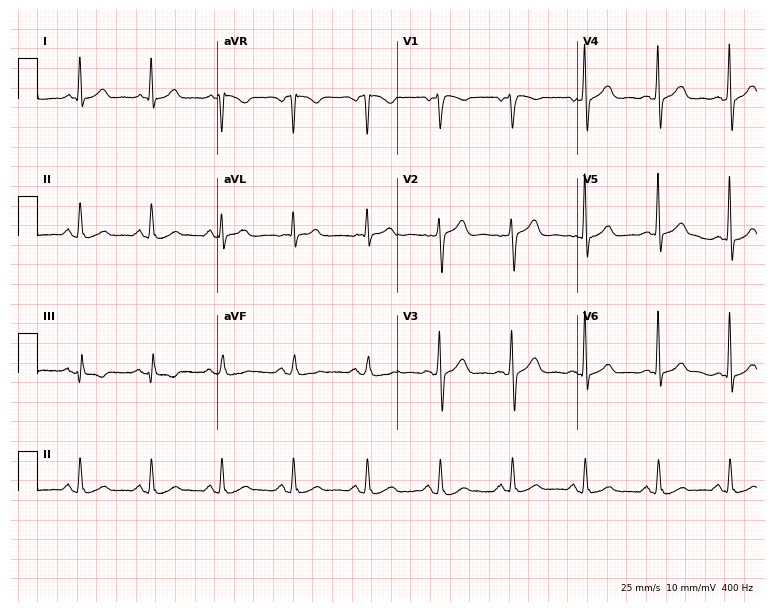
Electrocardiogram, a 45-year-old man. Overall reading on record: normal ECG.